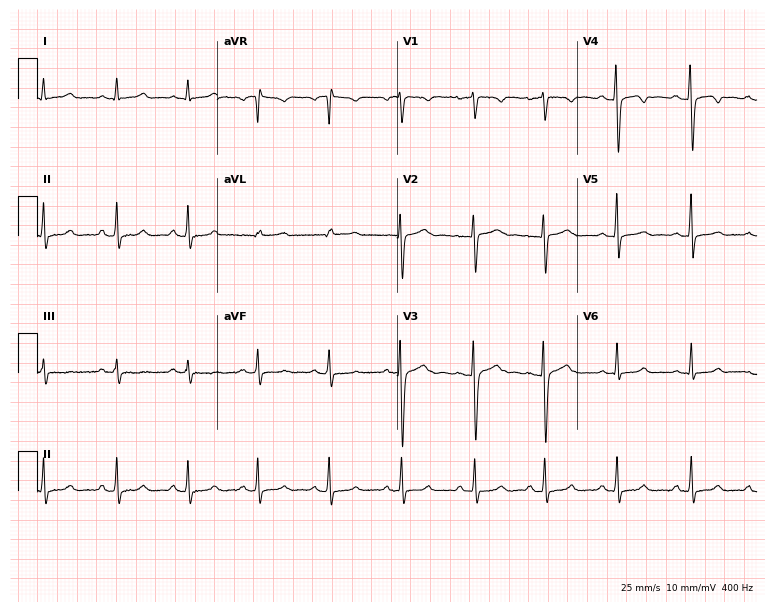
Electrocardiogram (7.3-second recording at 400 Hz), a female, 24 years old. Of the six screened findings (first-degree AV block, right bundle branch block, left bundle branch block, sinus bradycardia, atrial fibrillation, sinus tachycardia), none is recorded.